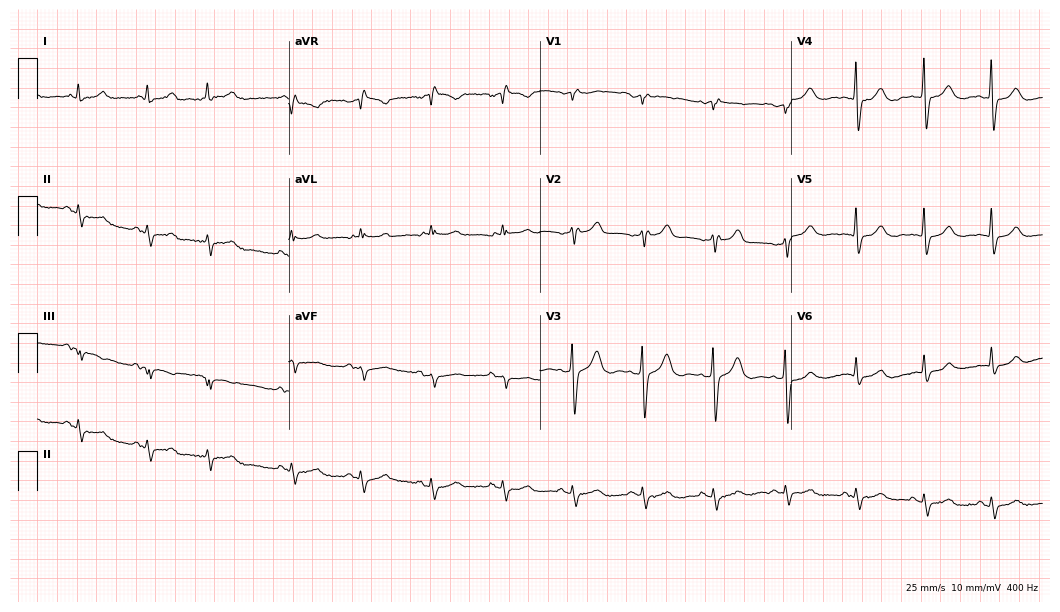
Electrocardiogram (10.2-second recording at 400 Hz), a female, 66 years old. Of the six screened findings (first-degree AV block, right bundle branch block (RBBB), left bundle branch block (LBBB), sinus bradycardia, atrial fibrillation (AF), sinus tachycardia), none is recorded. Findings outside these six are not listed.